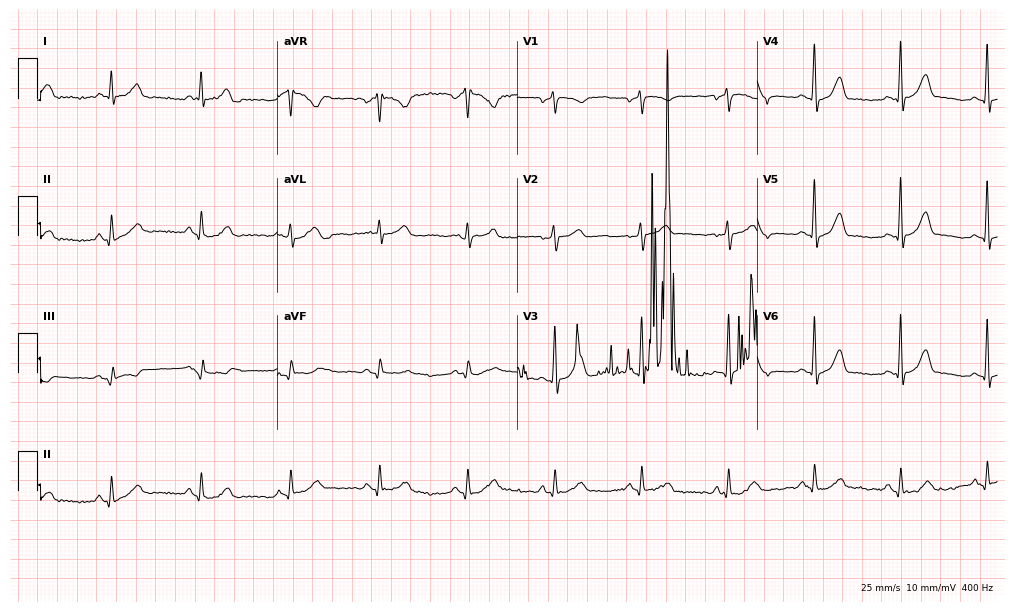
ECG — a male patient, 60 years old. Screened for six findings — first-degree AV block, right bundle branch block (RBBB), left bundle branch block (LBBB), sinus bradycardia, atrial fibrillation (AF), sinus tachycardia — none is recorded.